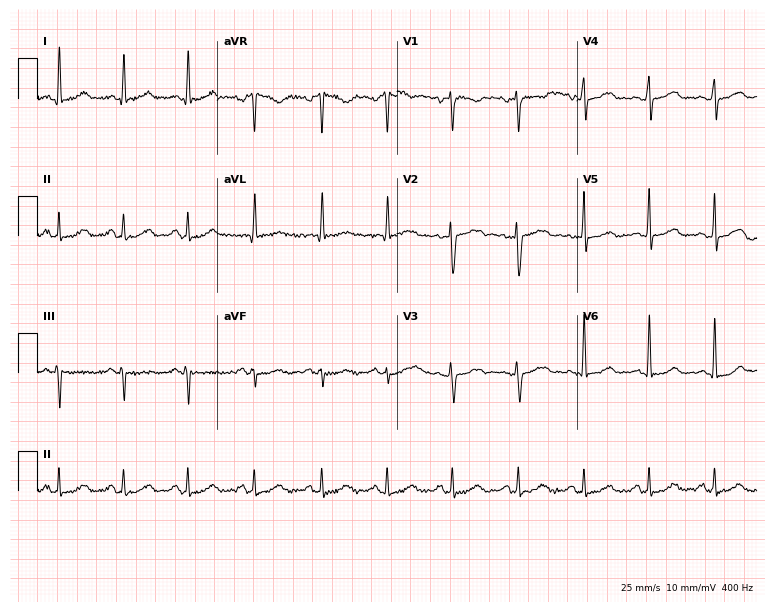
12-lead ECG from a 51-year-old female (7.3-second recording at 400 Hz). Recorded interpretation: within normal limits.